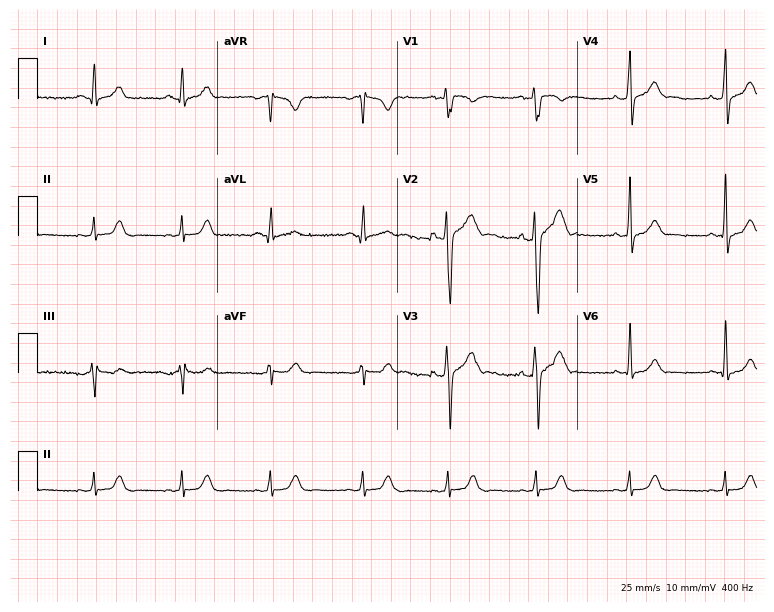
ECG (7.3-second recording at 400 Hz) — a 22-year-old male patient. Labelled as a normal ECG.